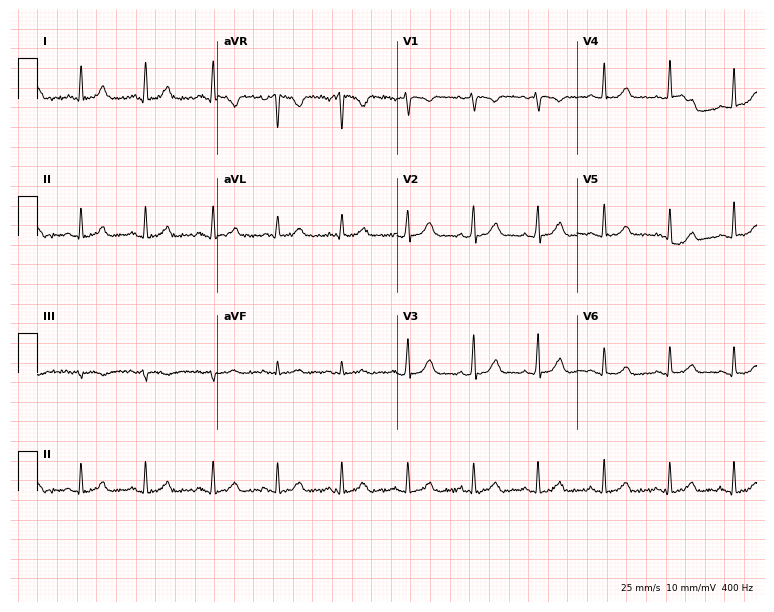
Electrocardiogram, a female, 25 years old. Overall reading on record: normal ECG.